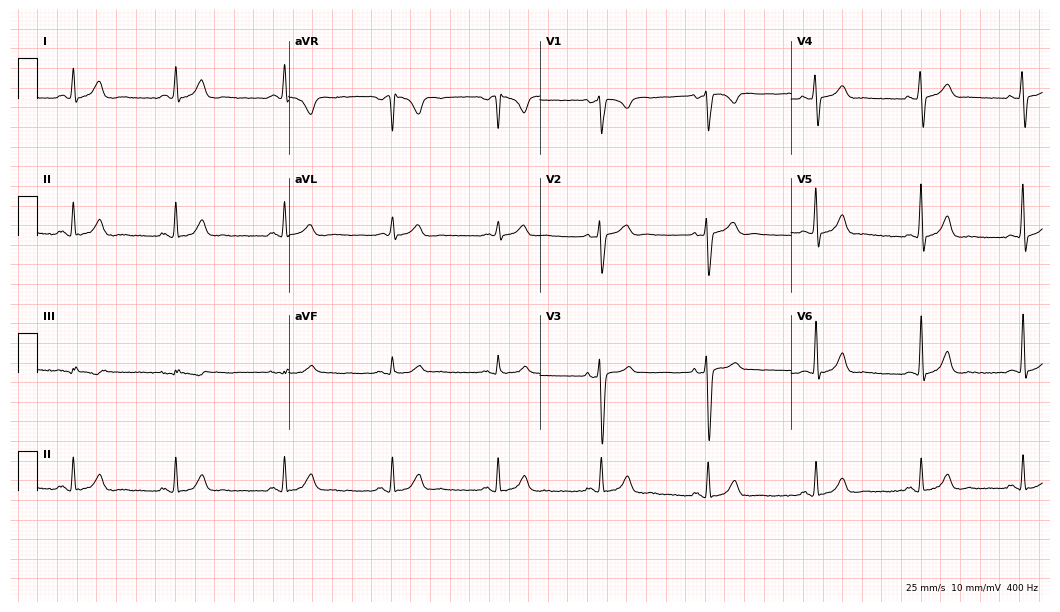
Electrocardiogram, a male patient, 42 years old. Of the six screened findings (first-degree AV block, right bundle branch block (RBBB), left bundle branch block (LBBB), sinus bradycardia, atrial fibrillation (AF), sinus tachycardia), none is recorded.